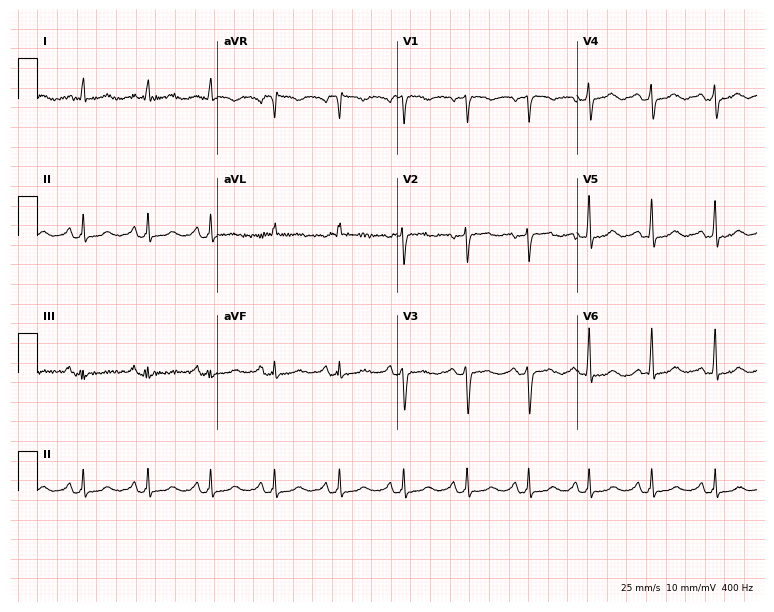
Electrocardiogram, a female patient, 48 years old. Overall reading on record: normal ECG.